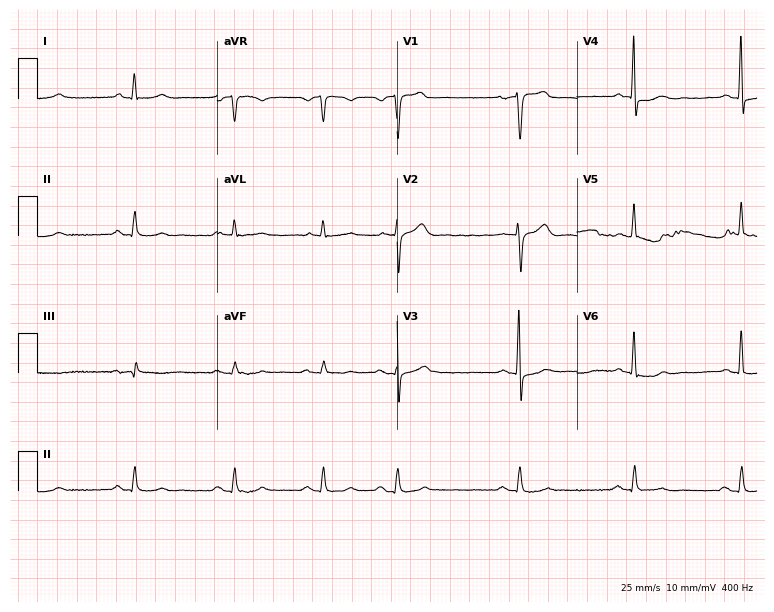
Standard 12-lead ECG recorded from a 56-year-old woman (7.3-second recording at 400 Hz). None of these six findings is recorded: first-degree AV block, right bundle branch block (RBBB), left bundle branch block (LBBB), sinus bradycardia, atrial fibrillation (AF), sinus tachycardia. Other findings, if any, are not listed.